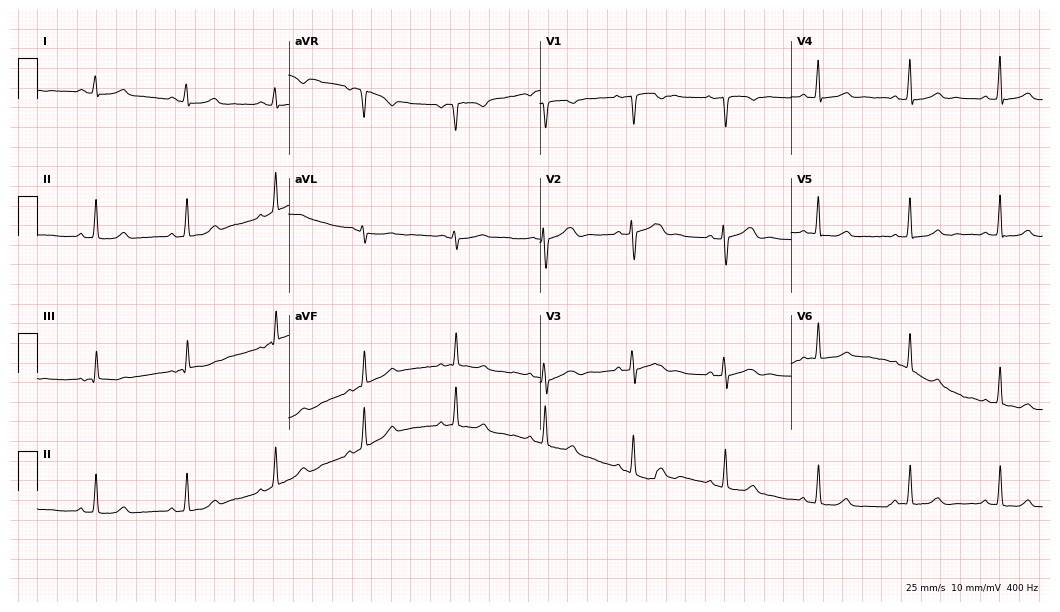
12-lead ECG from a 39-year-old female. Labelled as a normal ECG.